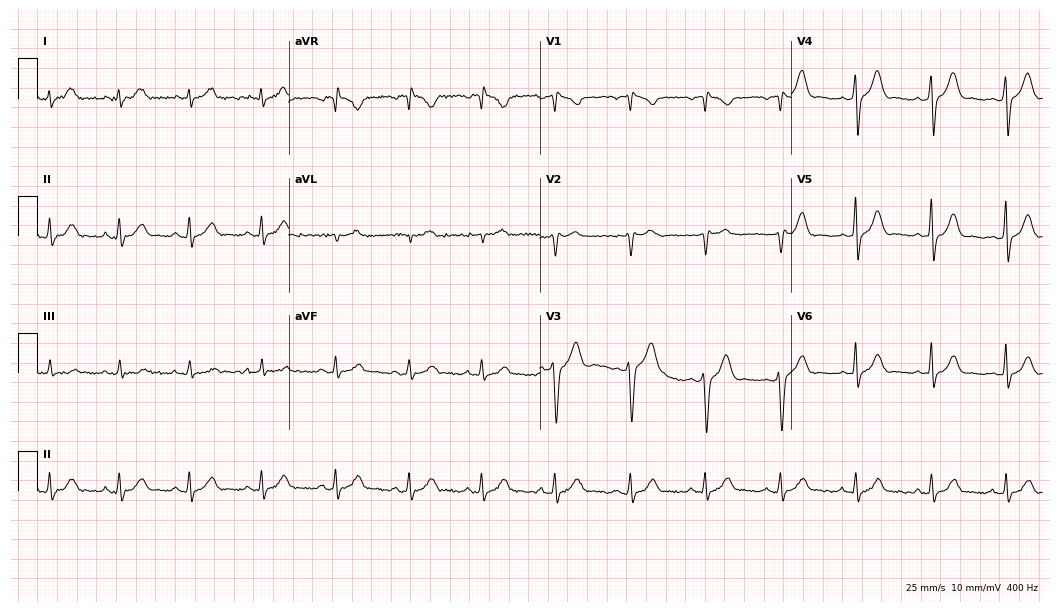
12-lead ECG from a male patient, 41 years old. No first-degree AV block, right bundle branch block, left bundle branch block, sinus bradycardia, atrial fibrillation or sinus tachycardia recorded for this tracing. Findings outside these six are not listed.